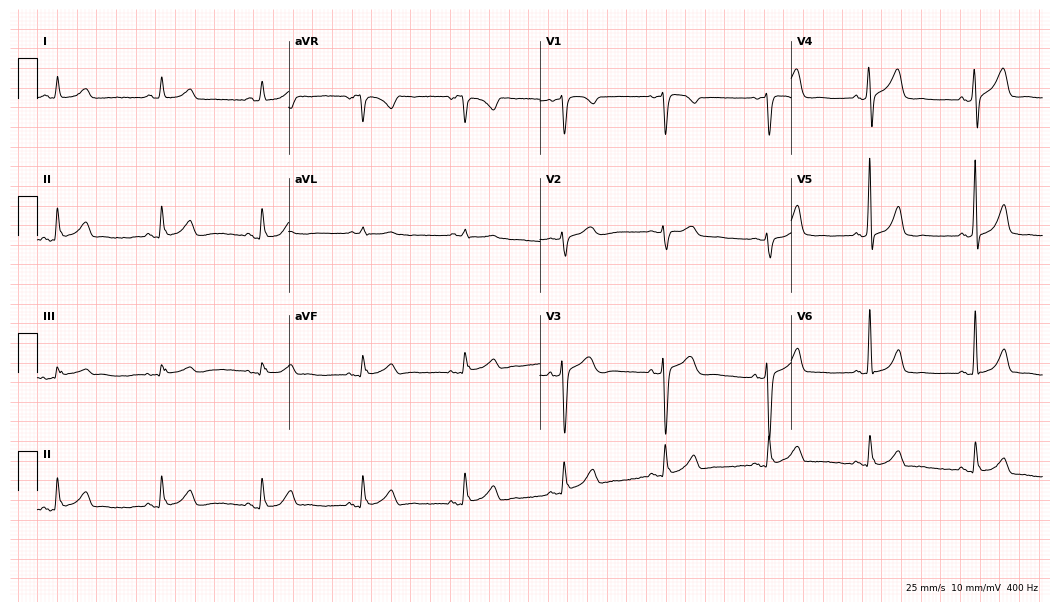
Electrocardiogram, a 63-year-old female. Overall reading on record: normal ECG.